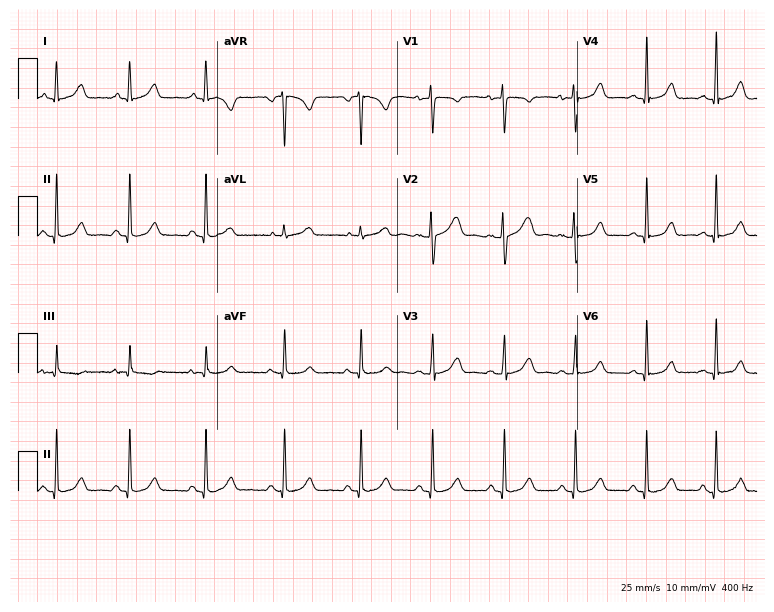
Electrocardiogram (7.3-second recording at 400 Hz), a 26-year-old female patient. Overall reading on record: normal ECG.